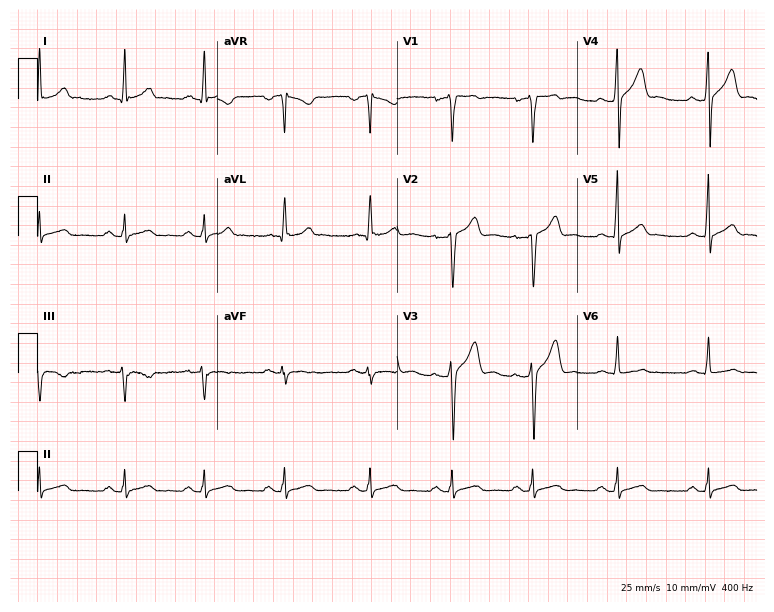
Standard 12-lead ECG recorded from a 26-year-old male. None of these six findings is recorded: first-degree AV block, right bundle branch block, left bundle branch block, sinus bradycardia, atrial fibrillation, sinus tachycardia.